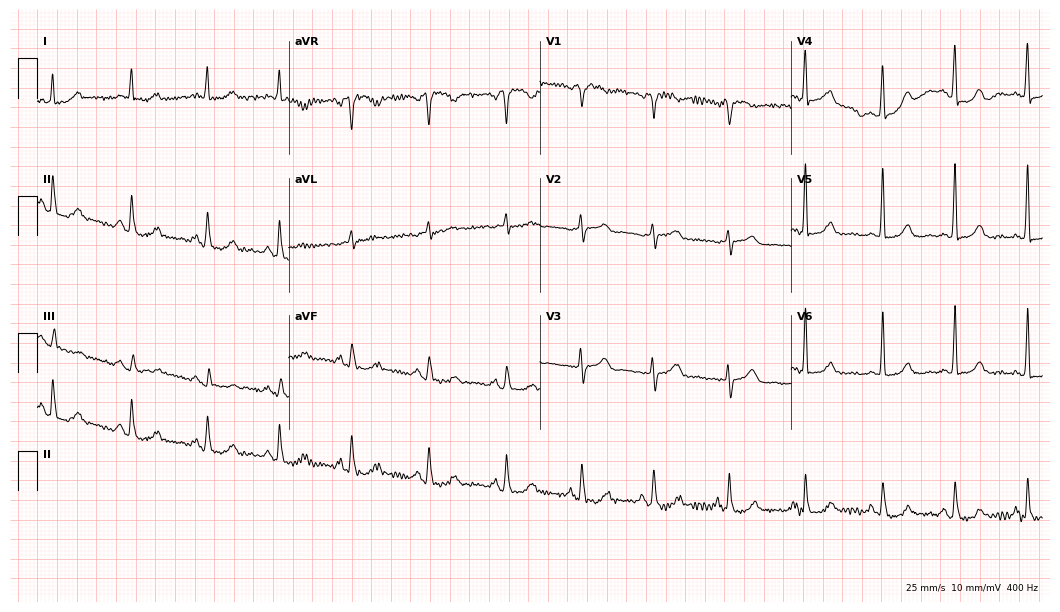
Resting 12-lead electrocardiogram (10.2-second recording at 400 Hz). Patient: a 68-year-old woman. Read as a normal ECG.